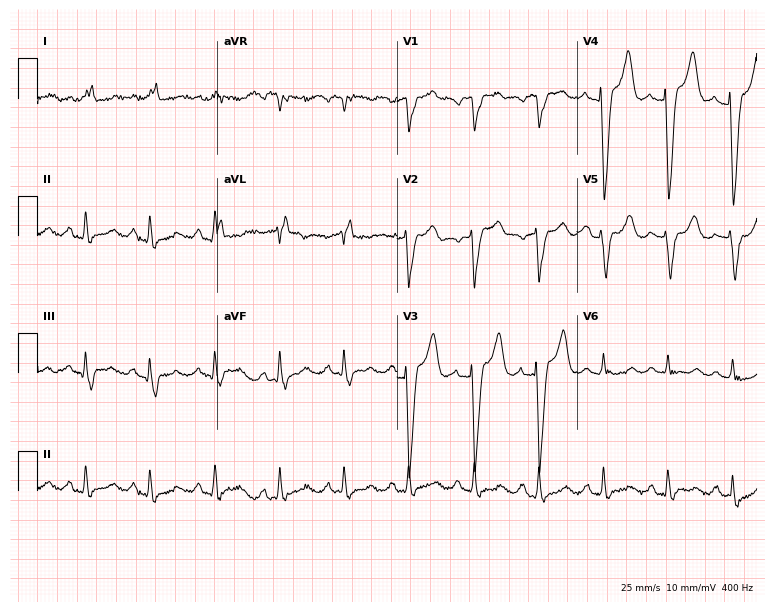
12-lead ECG from a woman, 72 years old (7.3-second recording at 400 Hz). Shows left bundle branch block (LBBB).